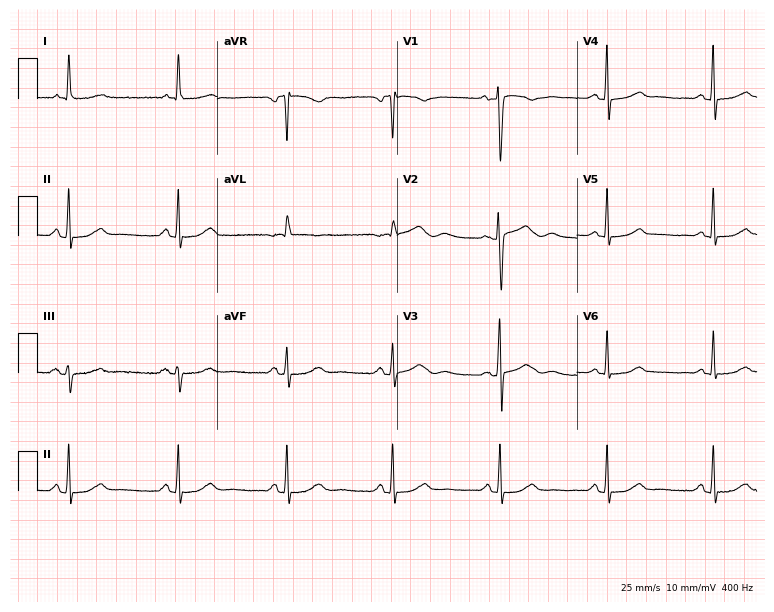
Standard 12-lead ECG recorded from a 63-year-old female patient (7.3-second recording at 400 Hz). None of these six findings is recorded: first-degree AV block, right bundle branch block, left bundle branch block, sinus bradycardia, atrial fibrillation, sinus tachycardia.